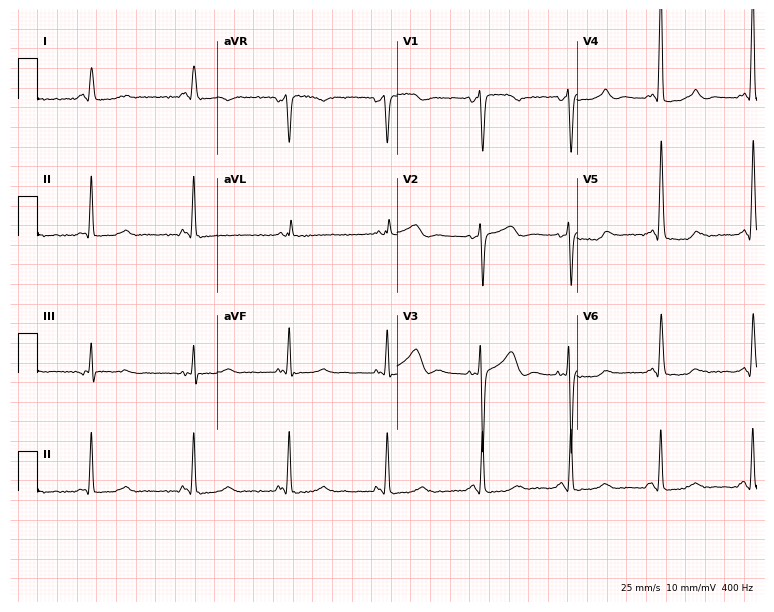
Electrocardiogram (7.3-second recording at 400 Hz), a 77-year-old woman. Of the six screened findings (first-degree AV block, right bundle branch block, left bundle branch block, sinus bradycardia, atrial fibrillation, sinus tachycardia), none is recorded.